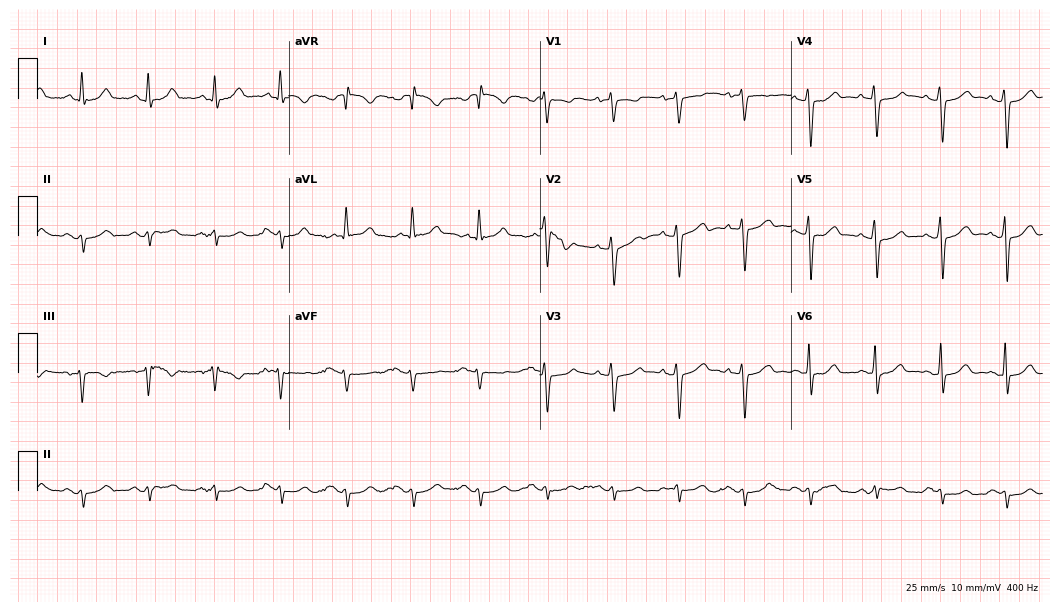
Resting 12-lead electrocardiogram (10.2-second recording at 400 Hz). Patient: a 74-year-old male. None of these six findings is recorded: first-degree AV block, right bundle branch block, left bundle branch block, sinus bradycardia, atrial fibrillation, sinus tachycardia. Other findings, if any, are not listed.